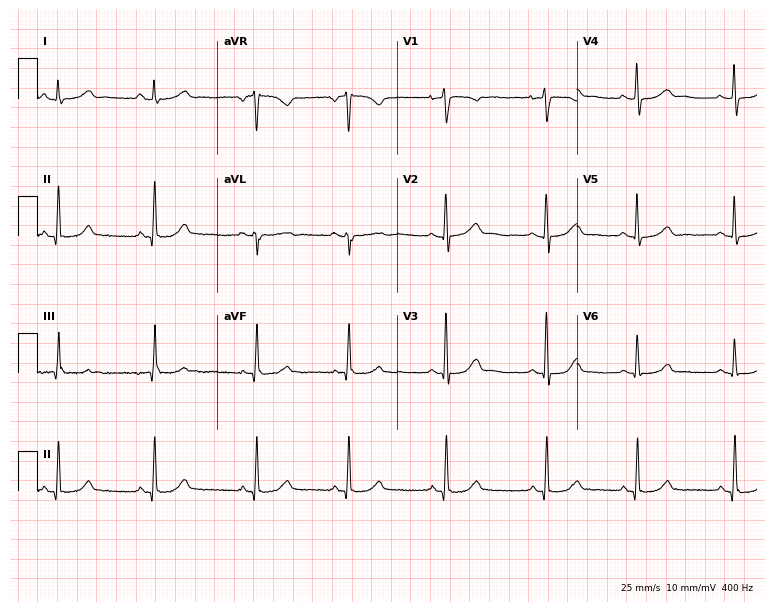
12-lead ECG from a 44-year-old woman. Screened for six findings — first-degree AV block, right bundle branch block, left bundle branch block, sinus bradycardia, atrial fibrillation, sinus tachycardia — none is recorded.